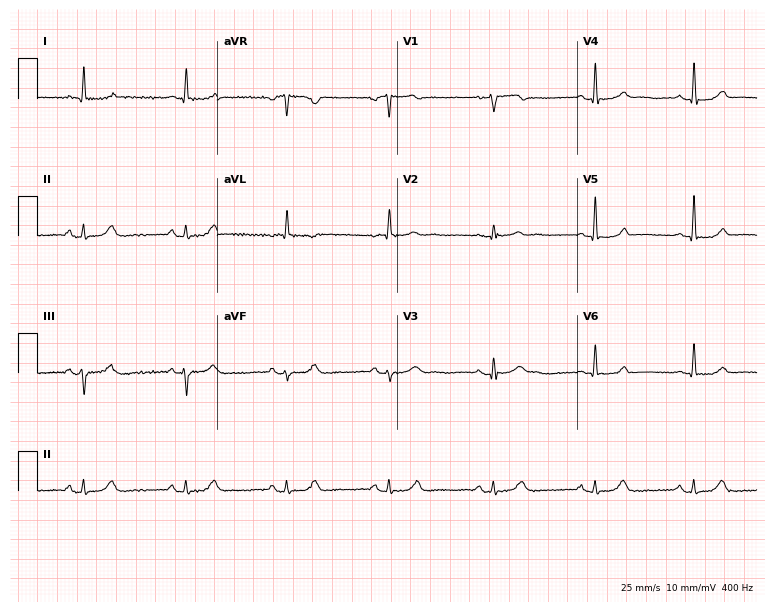
Standard 12-lead ECG recorded from a man, 68 years old. None of these six findings is recorded: first-degree AV block, right bundle branch block (RBBB), left bundle branch block (LBBB), sinus bradycardia, atrial fibrillation (AF), sinus tachycardia. Other findings, if any, are not listed.